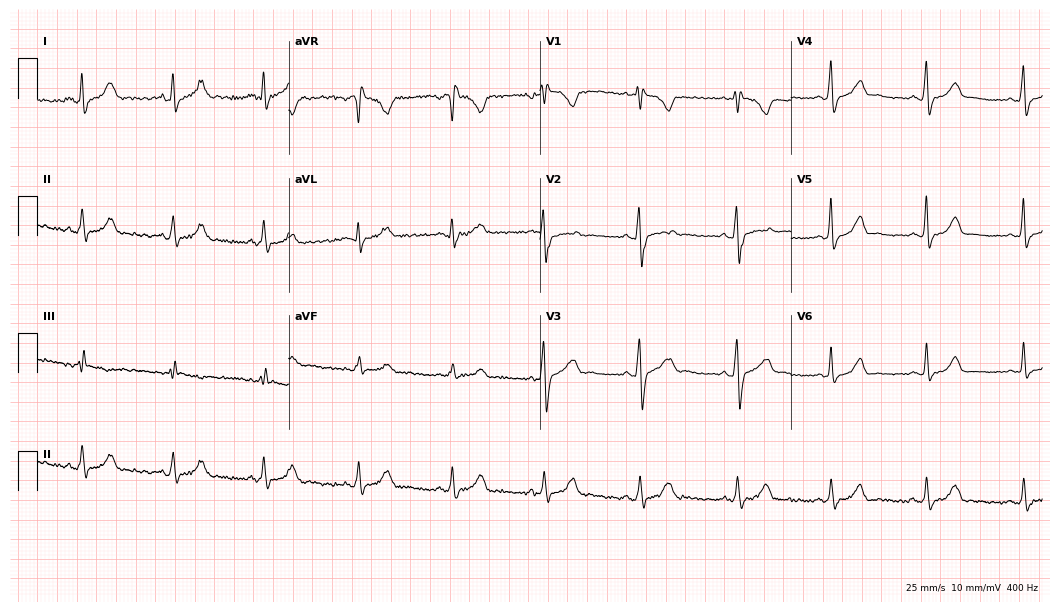
Electrocardiogram, a 22-year-old female patient. Of the six screened findings (first-degree AV block, right bundle branch block, left bundle branch block, sinus bradycardia, atrial fibrillation, sinus tachycardia), none is recorded. Findings outside these six are not listed.